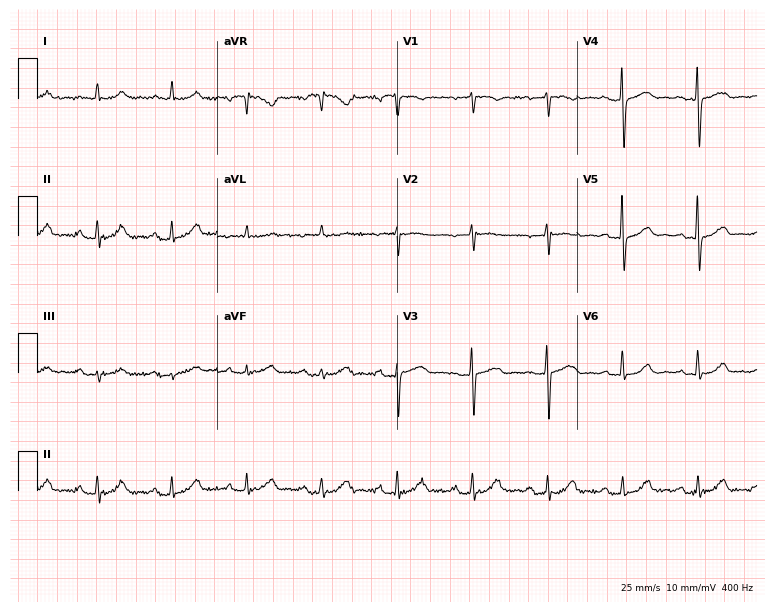
Standard 12-lead ECG recorded from a woman, 77 years old (7.3-second recording at 400 Hz). Read as a normal ECG.